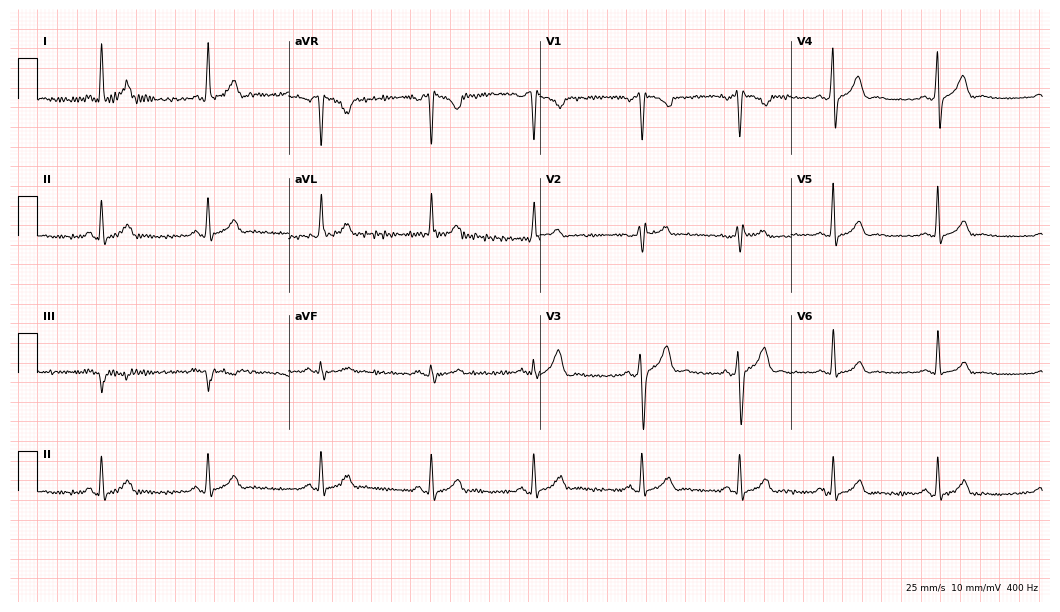
12-lead ECG from a male, 24 years old. Recorded interpretation: within normal limits.